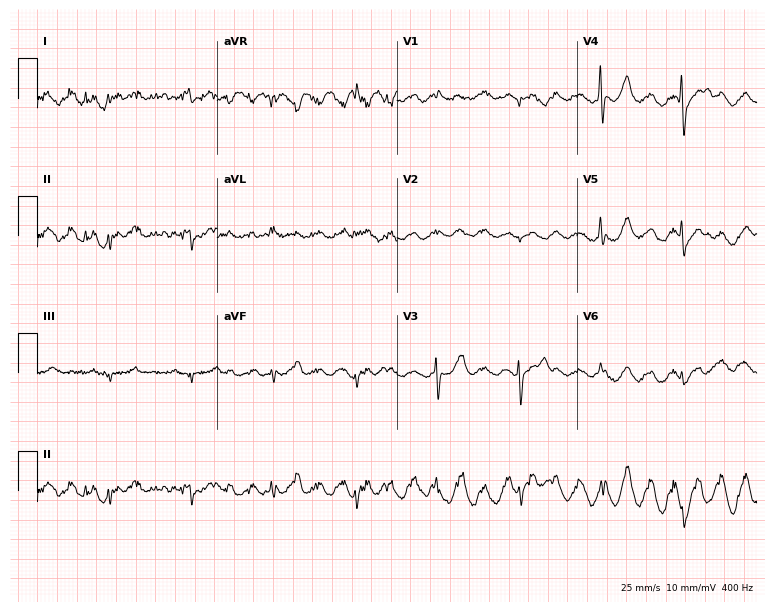
12-lead ECG (7.3-second recording at 400 Hz) from a 77-year-old man. Labelled as a normal ECG.